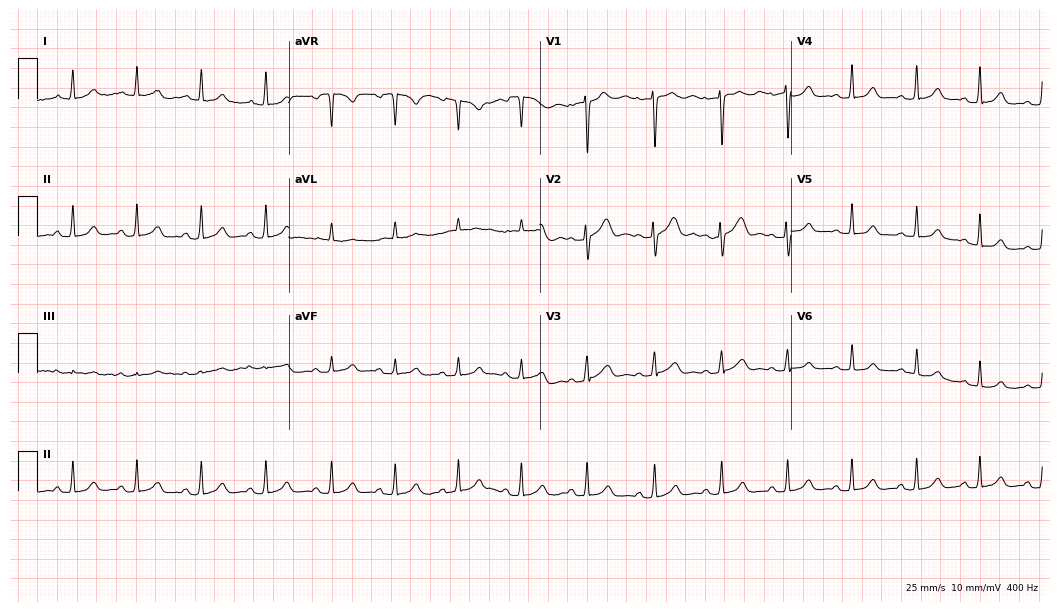
12-lead ECG (10.2-second recording at 400 Hz) from a female patient, 30 years old. Screened for six findings — first-degree AV block, right bundle branch block, left bundle branch block, sinus bradycardia, atrial fibrillation, sinus tachycardia — none is recorded.